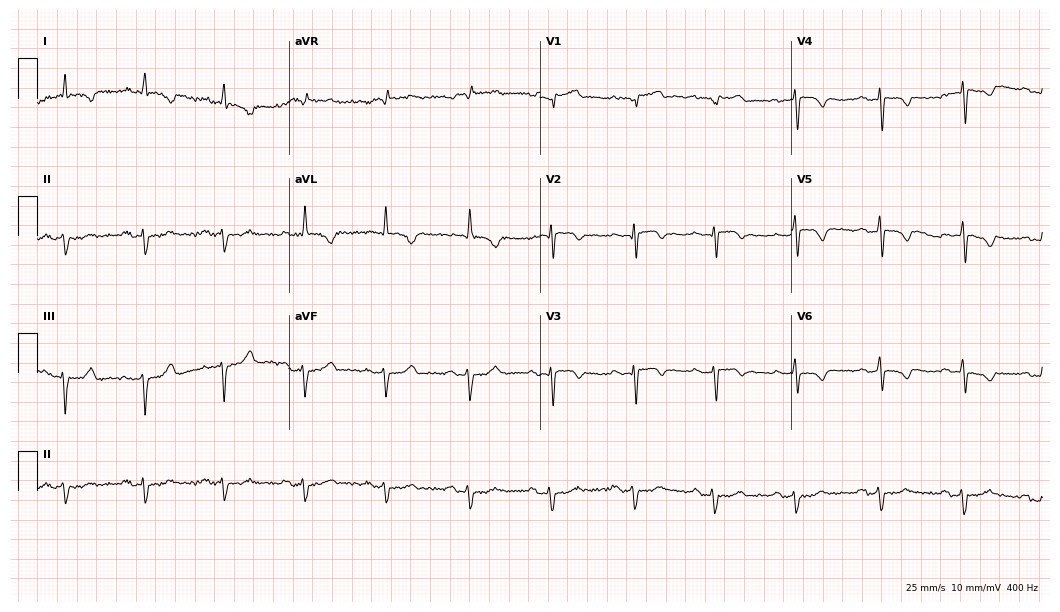
Electrocardiogram (10.2-second recording at 400 Hz), a 67-year-old man. Of the six screened findings (first-degree AV block, right bundle branch block, left bundle branch block, sinus bradycardia, atrial fibrillation, sinus tachycardia), none is recorded. Findings outside these six are not listed.